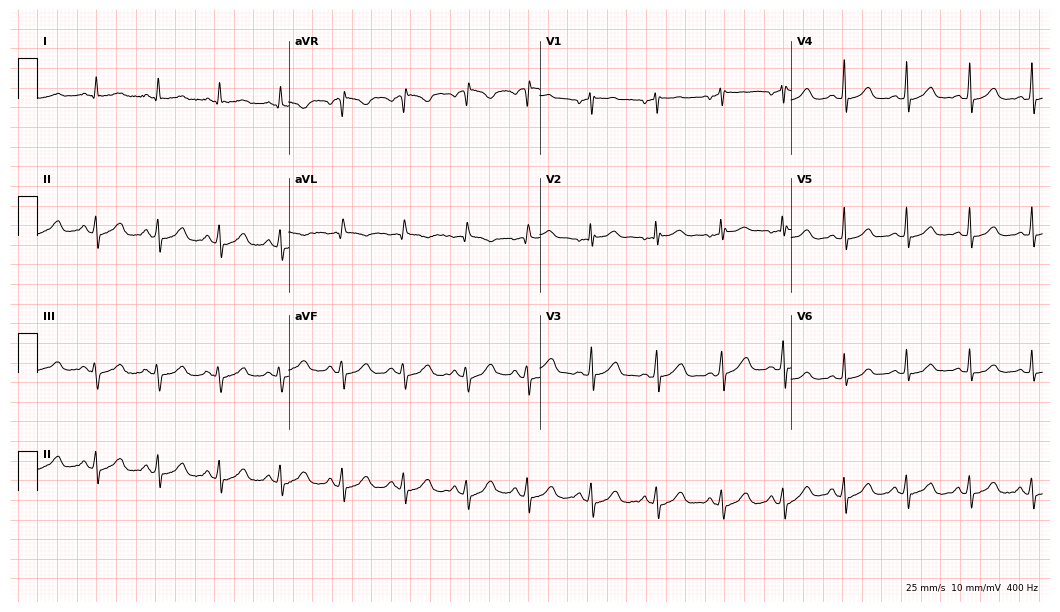
Electrocardiogram (10.2-second recording at 400 Hz), a 30-year-old female patient. Overall reading on record: normal ECG.